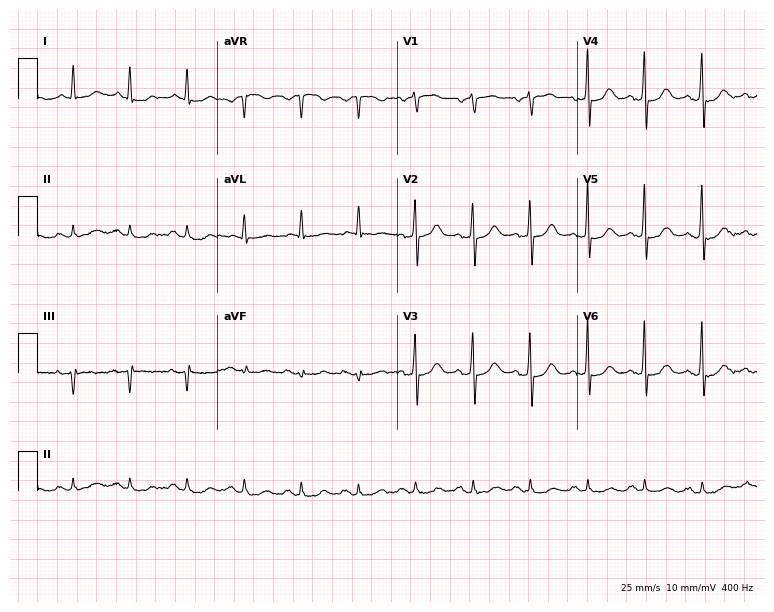
Standard 12-lead ECG recorded from a male, 81 years old. The tracing shows sinus tachycardia (a sinus rate of 100 beats per minute or more).